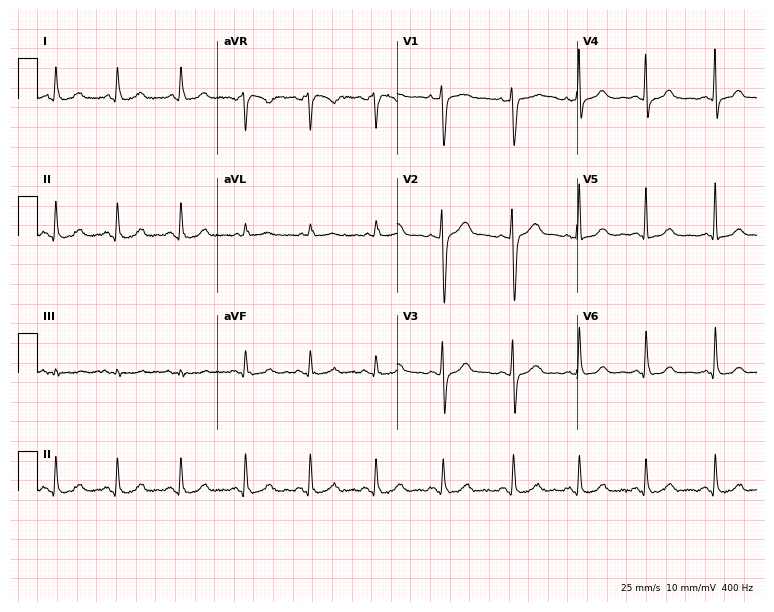
12-lead ECG from a 52-year-old female. Recorded interpretation: within normal limits.